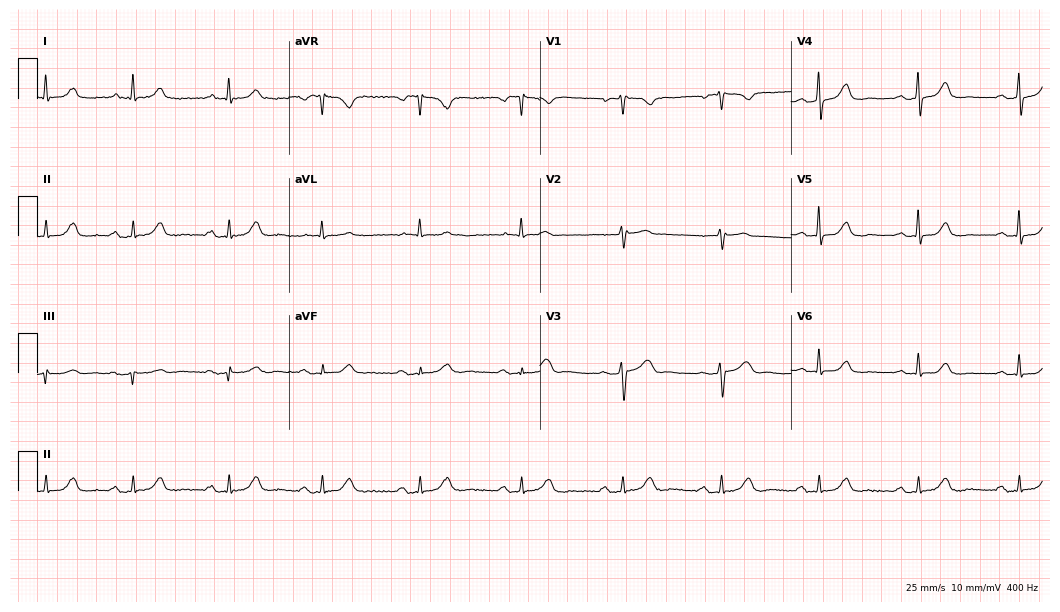
ECG (10.2-second recording at 400 Hz) — a 68-year-old female. Labelled as a normal ECG.